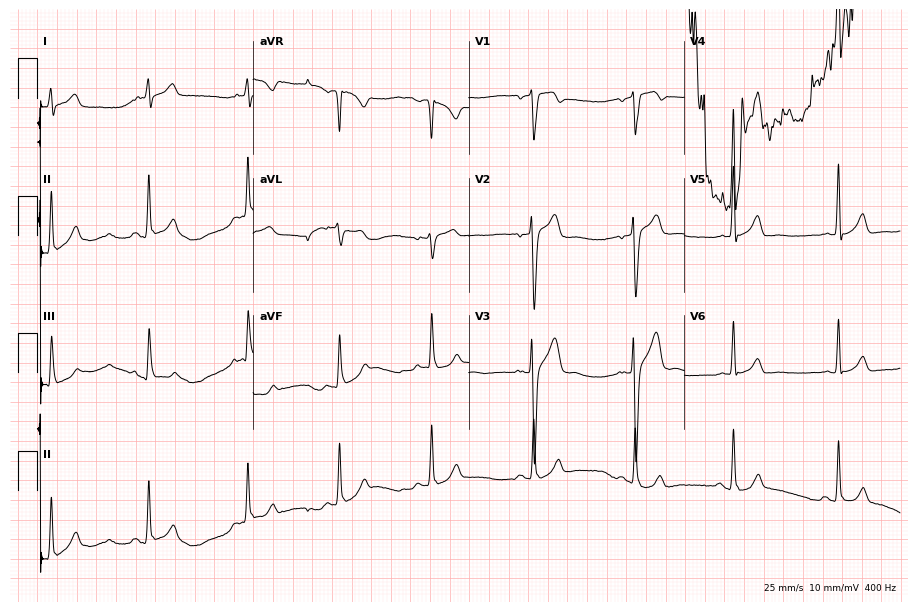
Electrocardiogram (8.8-second recording at 400 Hz), a woman, 20 years old. Of the six screened findings (first-degree AV block, right bundle branch block, left bundle branch block, sinus bradycardia, atrial fibrillation, sinus tachycardia), none is recorded. Findings outside these six are not listed.